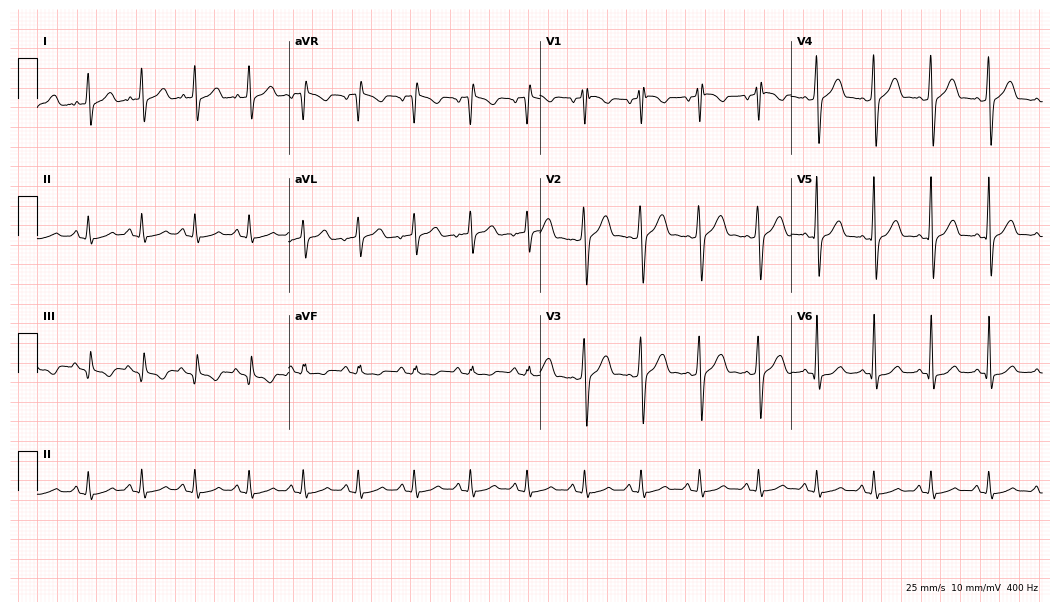
Electrocardiogram, a man, 23 years old. Of the six screened findings (first-degree AV block, right bundle branch block (RBBB), left bundle branch block (LBBB), sinus bradycardia, atrial fibrillation (AF), sinus tachycardia), none is recorded.